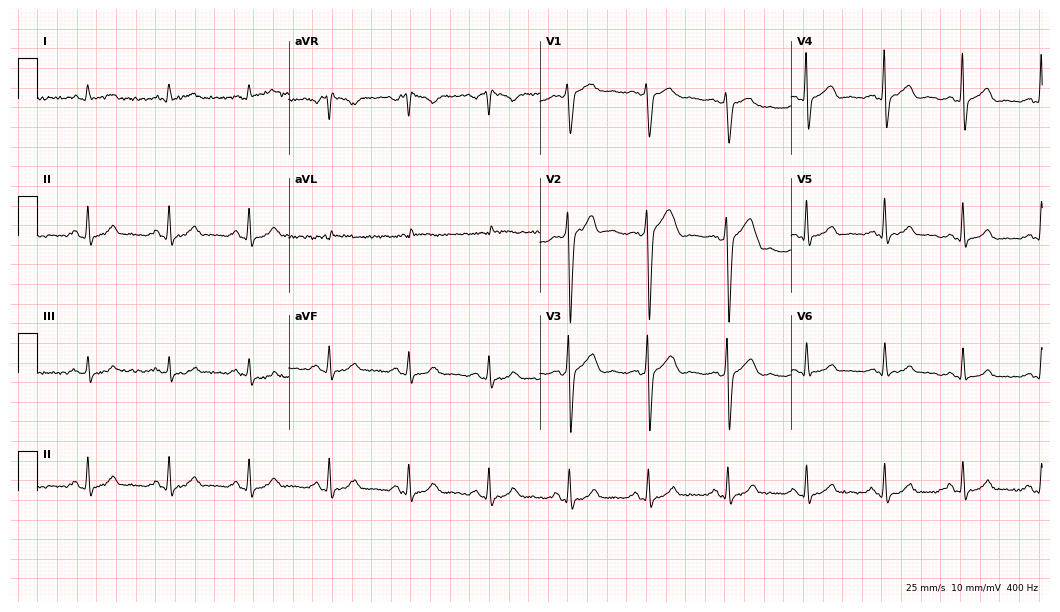
Standard 12-lead ECG recorded from a male patient, 53 years old (10.2-second recording at 400 Hz). None of these six findings is recorded: first-degree AV block, right bundle branch block (RBBB), left bundle branch block (LBBB), sinus bradycardia, atrial fibrillation (AF), sinus tachycardia. Findings outside these six are not listed.